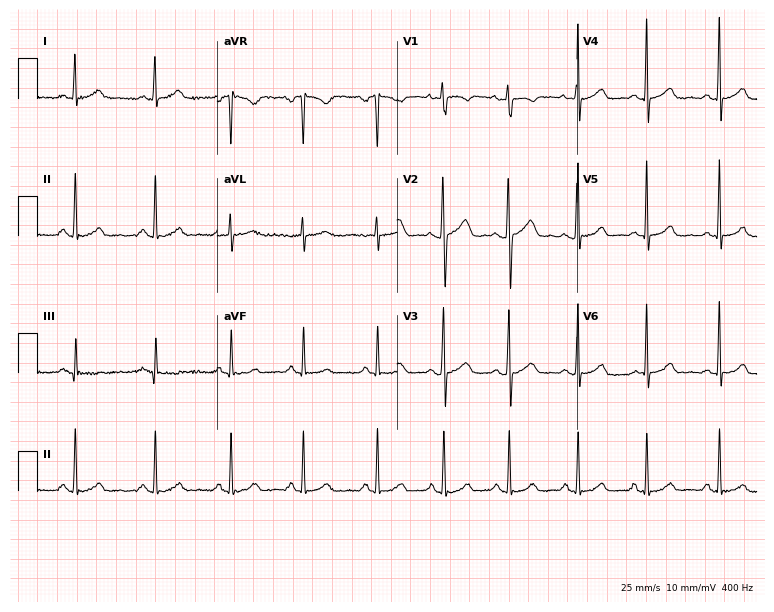
ECG — a 26-year-old female patient. Screened for six findings — first-degree AV block, right bundle branch block, left bundle branch block, sinus bradycardia, atrial fibrillation, sinus tachycardia — none is recorded.